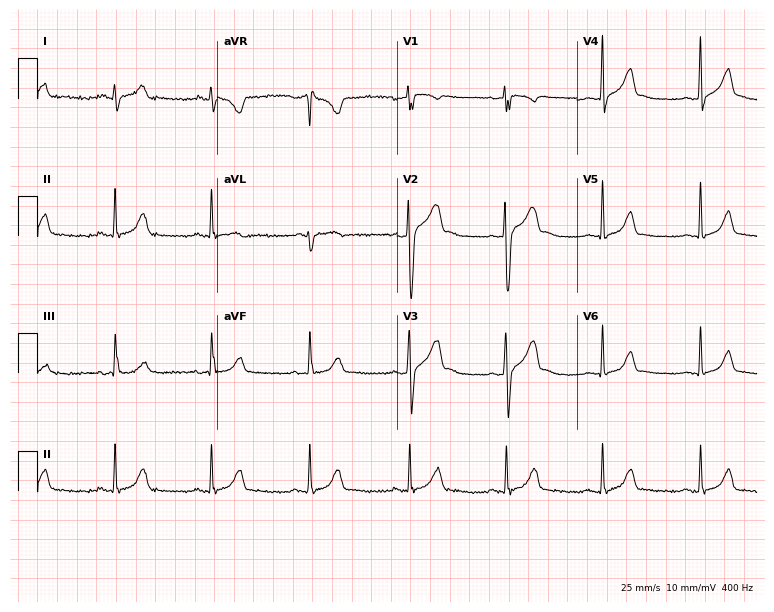
12-lead ECG from a male patient, 23 years old (7.3-second recording at 400 Hz). Recorded interpretation: within normal limits.